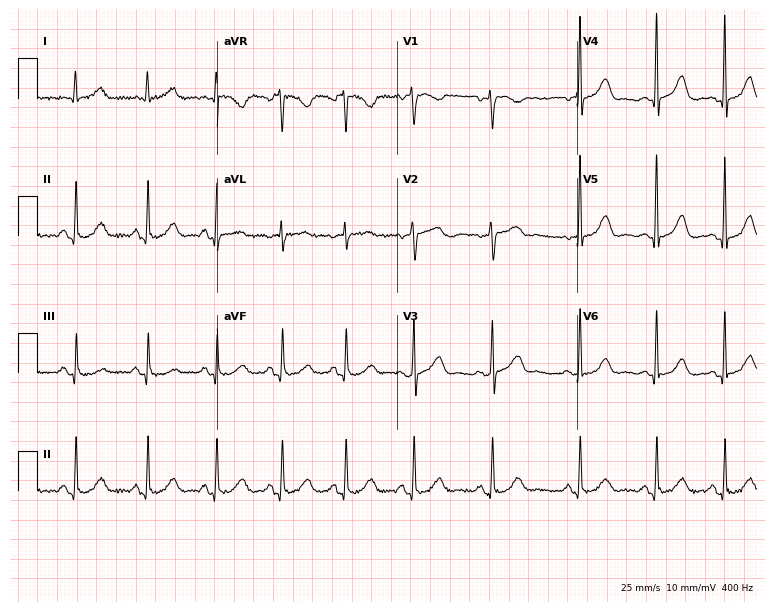
Electrocardiogram (7.3-second recording at 400 Hz), a female, 60 years old. Overall reading on record: normal ECG.